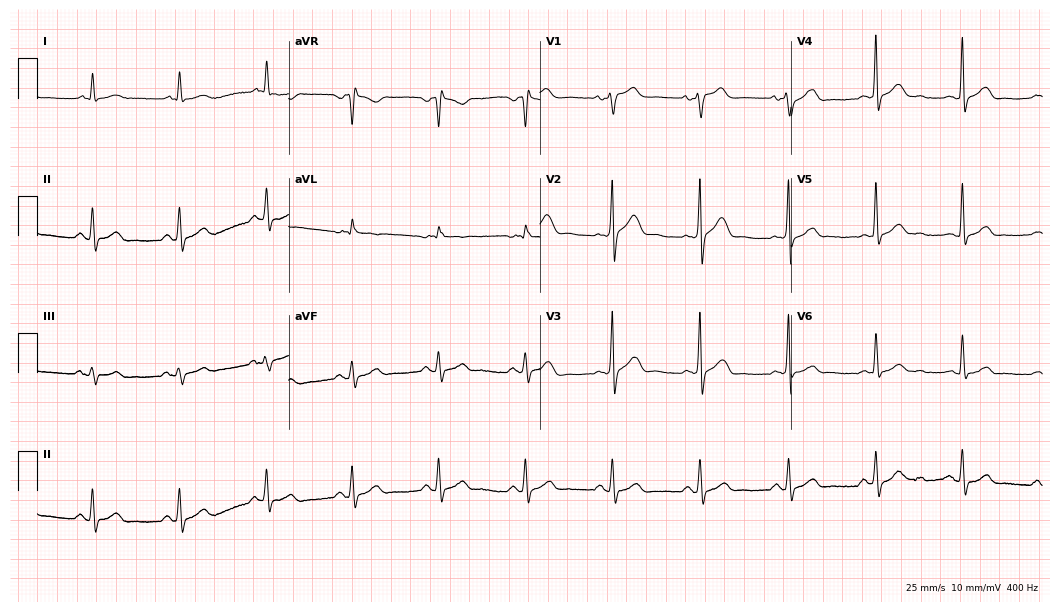
Resting 12-lead electrocardiogram (10.2-second recording at 400 Hz). Patient: a 46-year-old male. Read as a normal ECG.